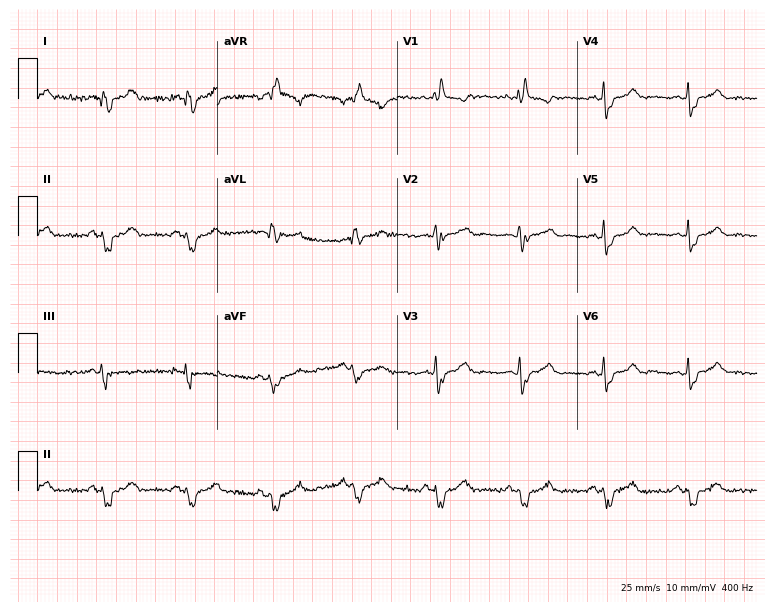
12-lead ECG from a woman, 44 years old (7.3-second recording at 400 Hz). Shows right bundle branch block.